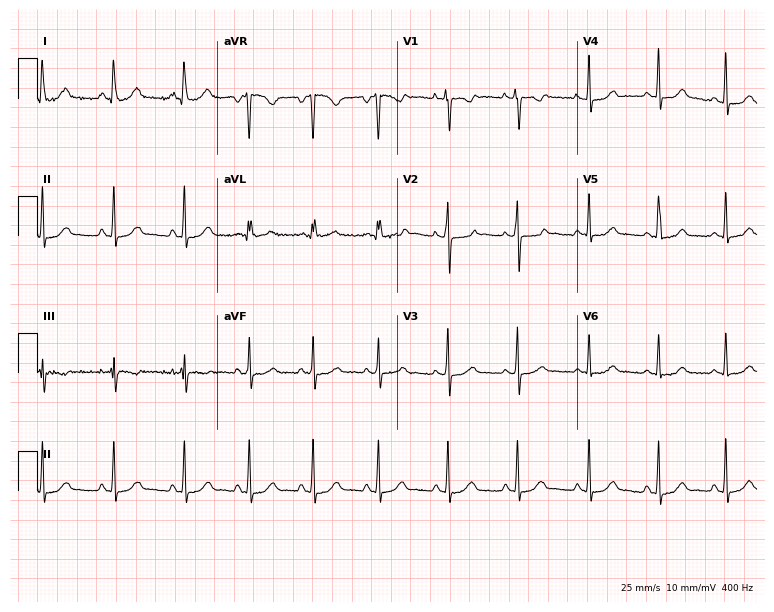
Standard 12-lead ECG recorded from an 18-year-old female patient (7.3-second recording at 400 Hz). Read as a normal ECG.